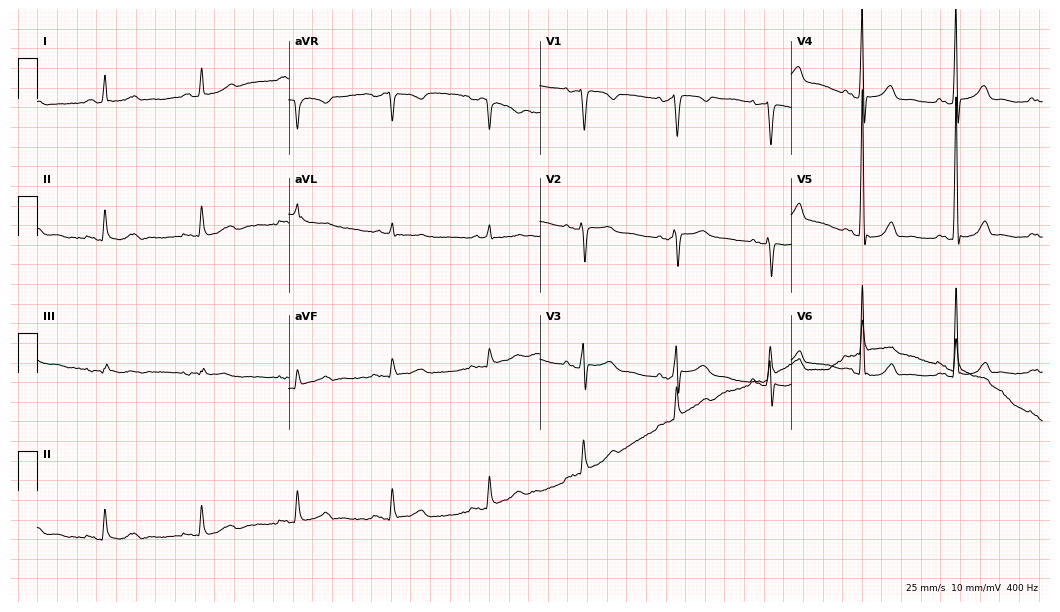
Resting 12-lead electrocardiogram. Patient: a female, 82 years old. None of these six findings is recorded: first-degree AV block, right bundle branch block, left bundle branch block, sinus bradycardia, atrial fibrillation, sinus tachycardia.